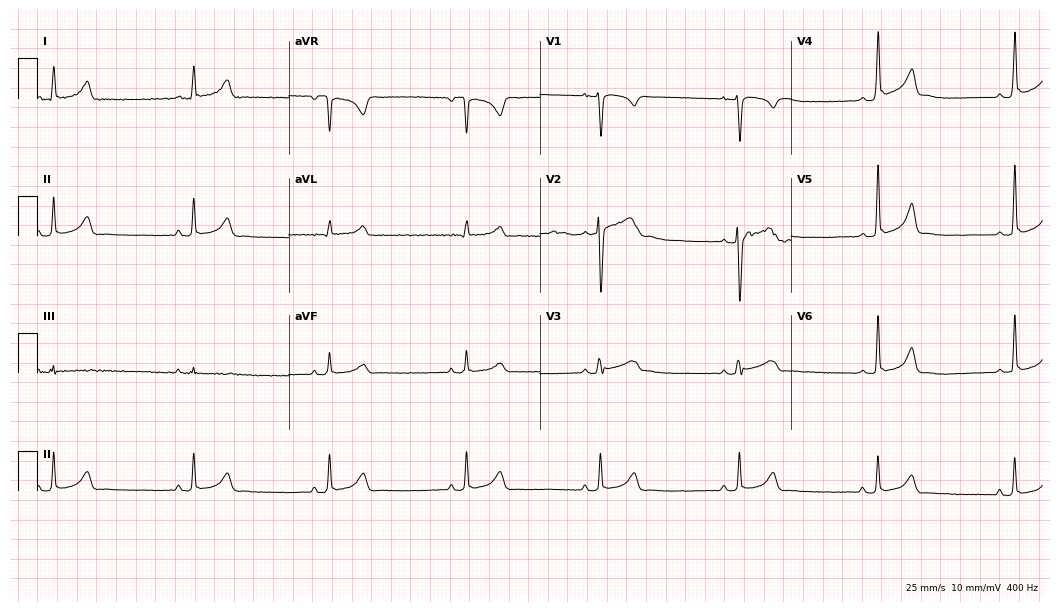
Standard 12-lead ECG recorded from a 25-year-old male patient. The tracing shows sinus bradycardia (a sinus rate of 50 beats per minute or less).